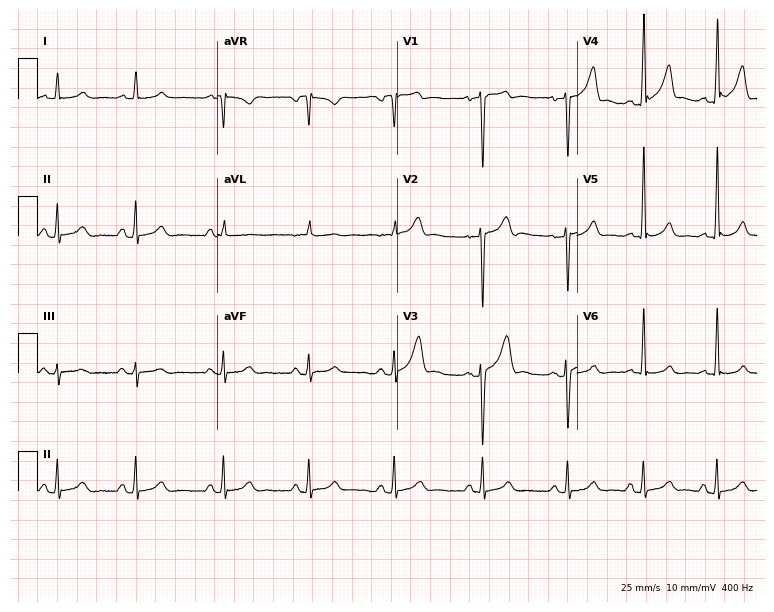
12-lead ECG from a 27-year-old male patient (7.3-second recording at 400 Hz). No first-degree AV block, right bundle branch block, left bundle branch block, sinus bradycardia, atrial fibrillation or sinus tachycardia recorded for this tracing. Other findings, if any, are not listed.